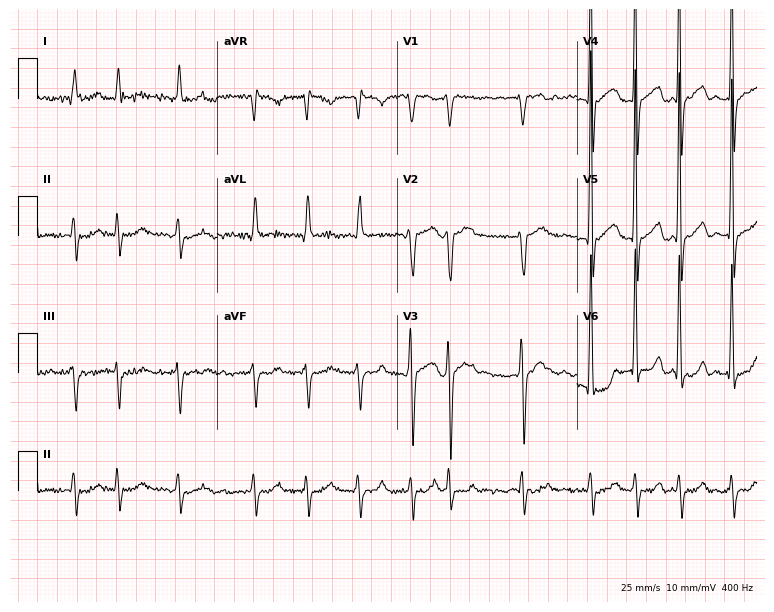
ECG — an 81-year-old male. Findings include atrial fibrillation.